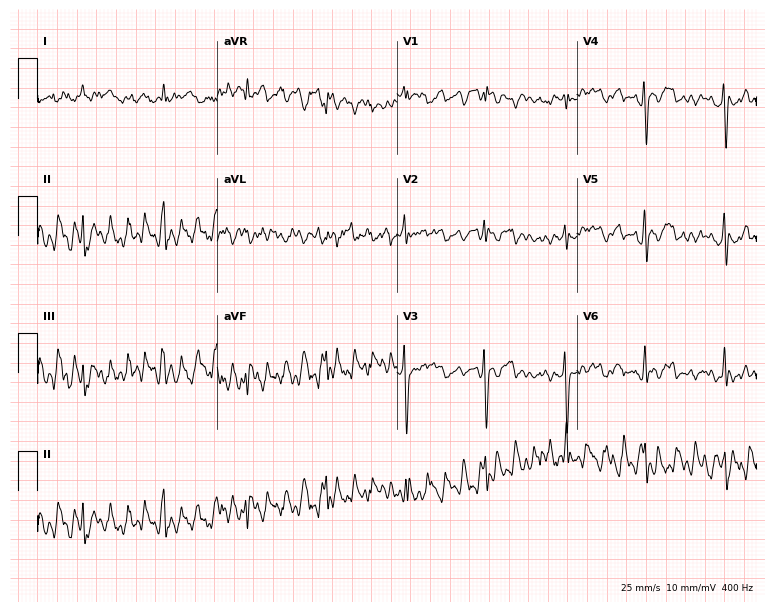
ECG — a 77-year-old woman. Screened for six findings — first-degree AV block, right bundle branch block (RBBB), left bundle branch block (LBBB), sinus bradycardia, atrial fibrillation (AF), sinus tachycardia — none is recorded. Other findings, if any, are not listed.